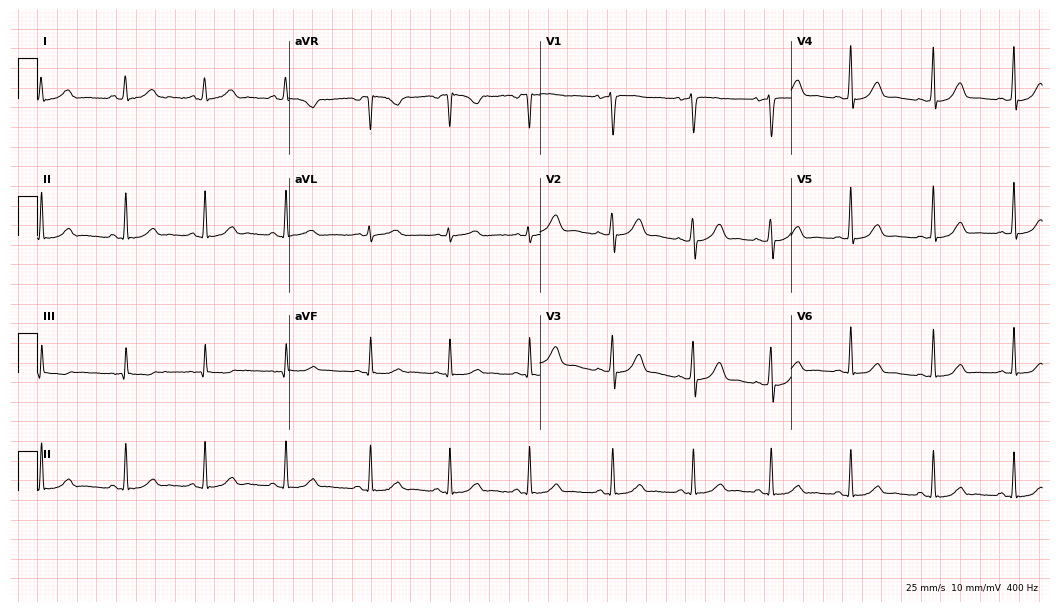
ECG (10.2-second recording at 400 Hz) — a 34-year-old female. Labelled as a normal ECG.